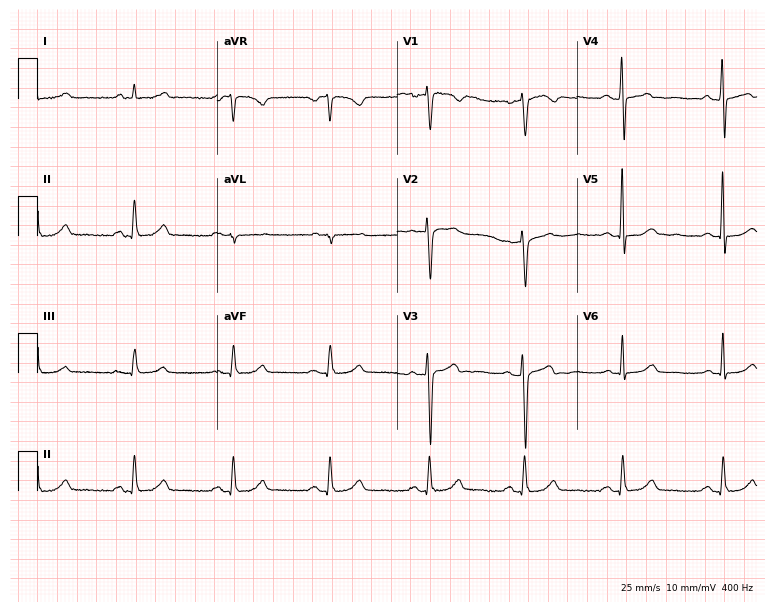
Electrocardiogram, a 45-year-old female. Of the six screened findings (first-degree AV block, right bundle branch block (RBBB), left bundle branch block (LBBB), sinus bradycardia, atrial fibrillation (AF), sinus tachycardia), none is recorded.